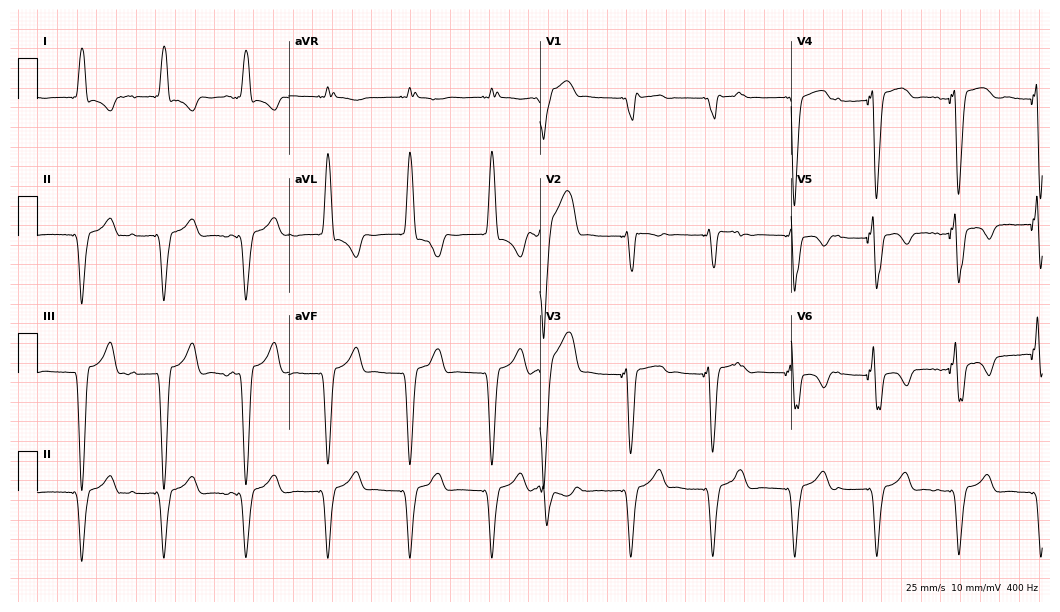
Resting 12-lead electrocardiogram. Patient: a man, 54 years old. None of these six findings is recorded: first-degree AV block, right bundle branch block, left bundle branch block, sinus bradycardia, atrial fibrillation, sinus tachycardia.